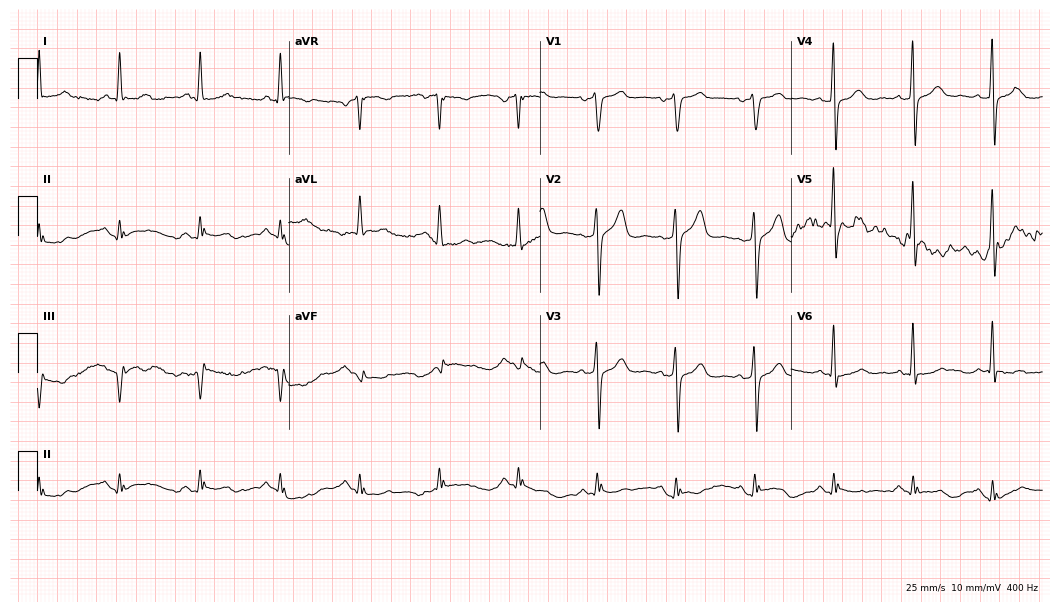
Electrocardiogram (10.2-second recording at 400 Hz), a male patient aged 90 or older. Of the six screened findings (first-degree AV block, right bundle branch block, left bundle branch block, sinus bradycardia, atrial fibrillation, sinus tachycardia), none is recorded.